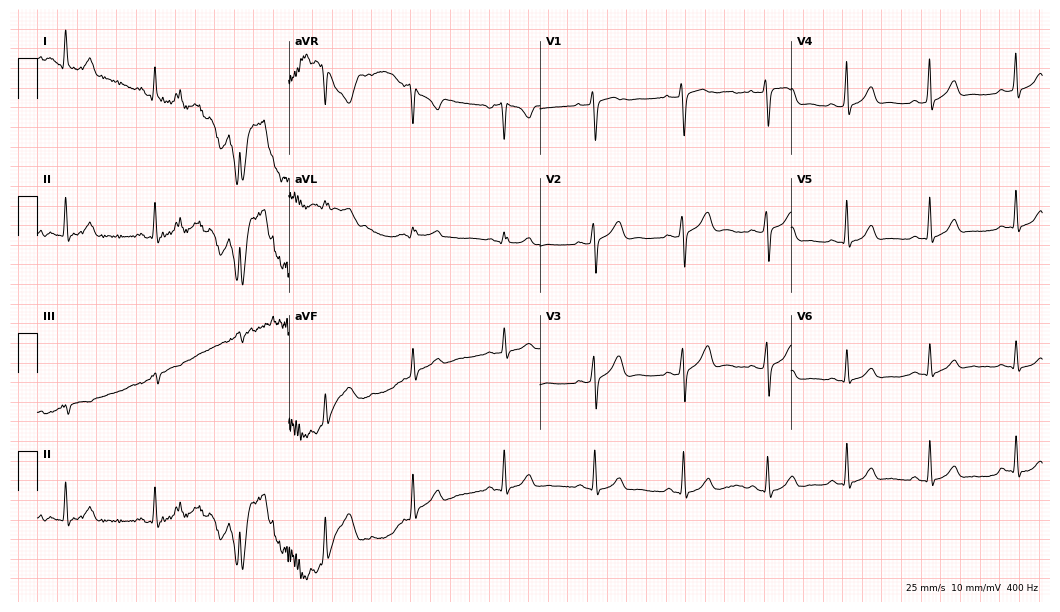
ECG (10.2-second recording at 400 Hz) — a female, 27 years old. Labelled as a normal ECG.